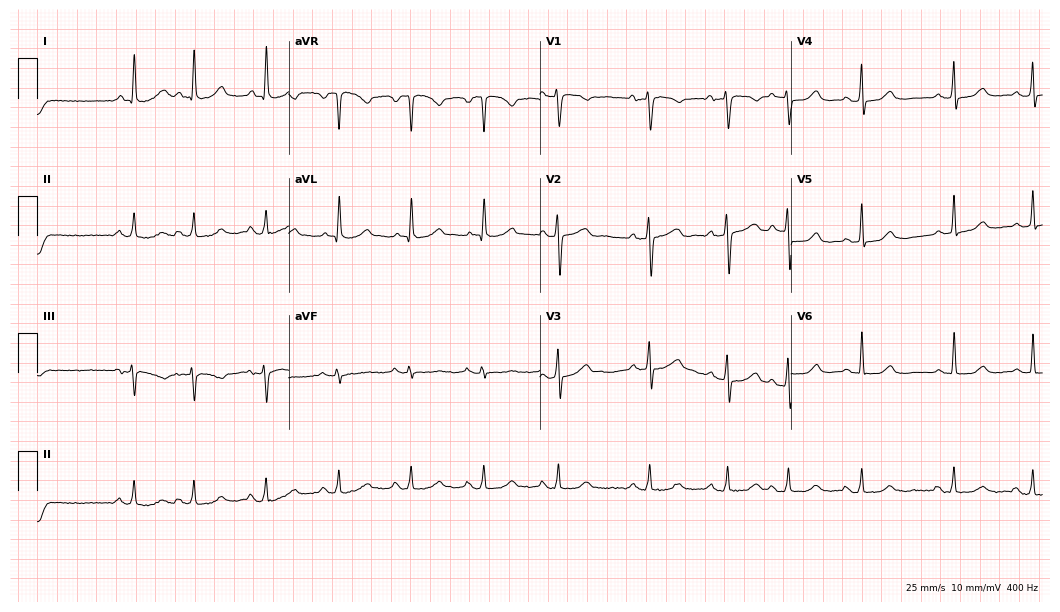
Electrocardiogram (10.2-second recording at 400 Hz), a woman, 73 years old. Of the six screened findings (first-degree AV block, right bundle branch block, left bundle branch block, sinus bradycardia, atrial fibrillation, sinus tachycardia), none is recorded. Findings outside these six are not listed.